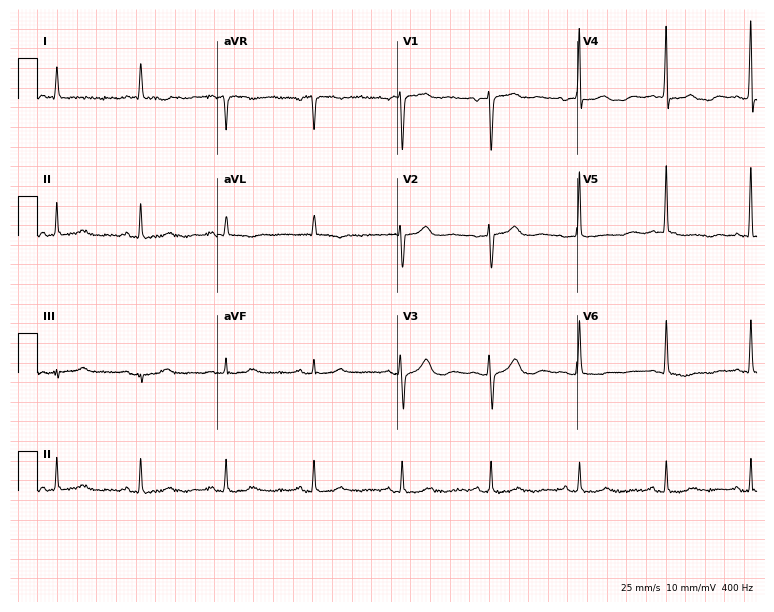
Standard 12-lead ECG recorded from a female patient, 68 years old (7.3-second recording at 400 Hz). None of these six findings is recorded: first-degree AV block, right bundle branch block (RBBB), left bundle branch block (LBBB), sinus bradycardia, atrial fibrillation (AF), sinus tachycardia.